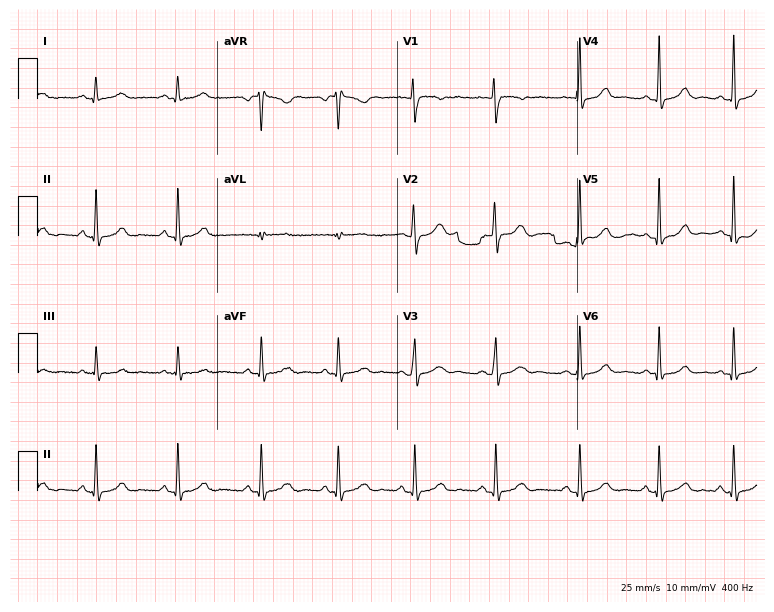
Standard 12-lead ECG recorded from a woman, 32 years old. Read as a normal ECG.